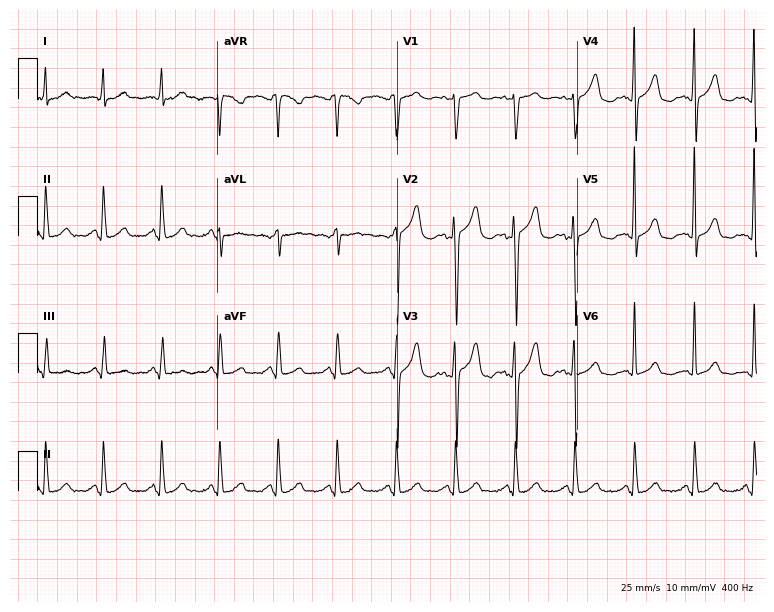
12-lead ECG from a female patient, 60 years old. Recorded interpretation: within normal limits.